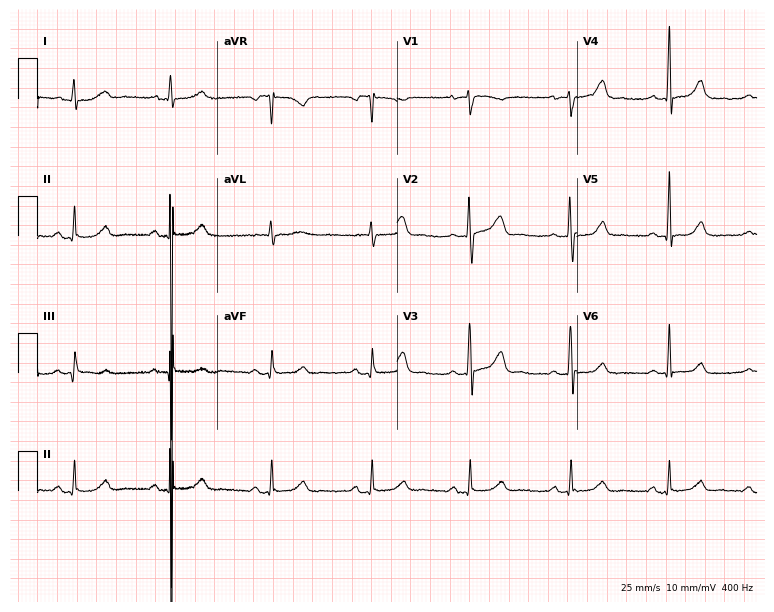
Resting 12-lead electrocardiogram. Patient: a female, 43 years old. None of these six findings is recorded: first-degree AV block, right bundle branch block (RBBB), left bundle branch block (LBBB), sinus bradycardia, atrial fibrillation (AF), sinus tachycardia.